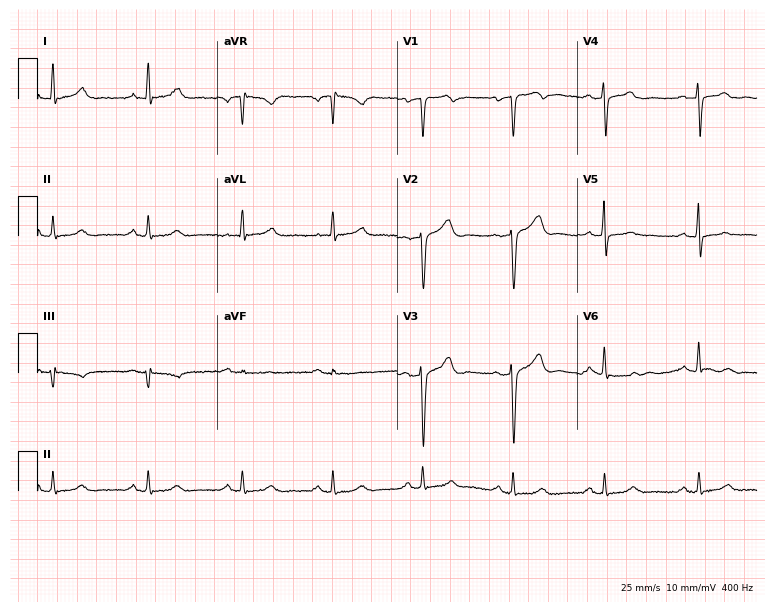
12-lead ECG from a male, 46 years old. Recorded interpretation: within normal limits.